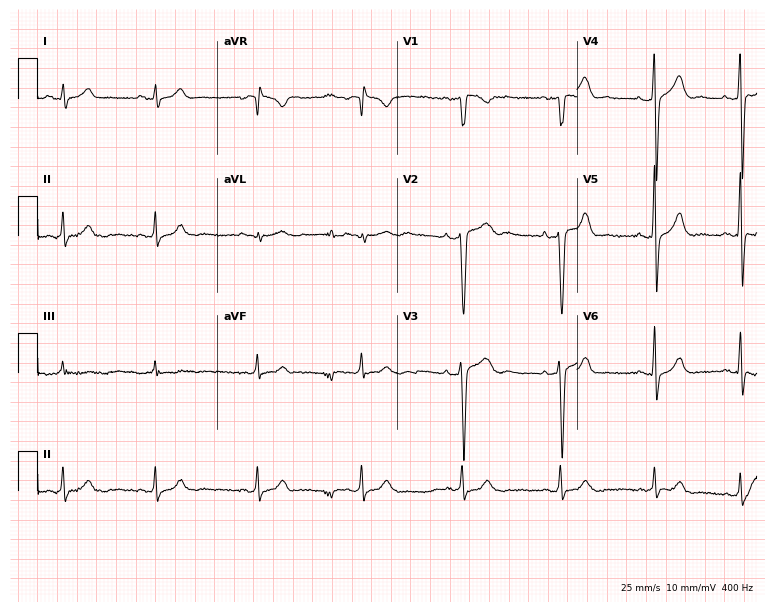
Standard 12-lead ECG recorded from a male, 39 years old (7.3-second recording at 400 Hz). None of these six findings is recorded: first-degree AV block, right bundle branch block, left bundle branch block, sinus bradycardia, atrial fibrillation, sinus tachycardia. Other findings, if any, are not listed.